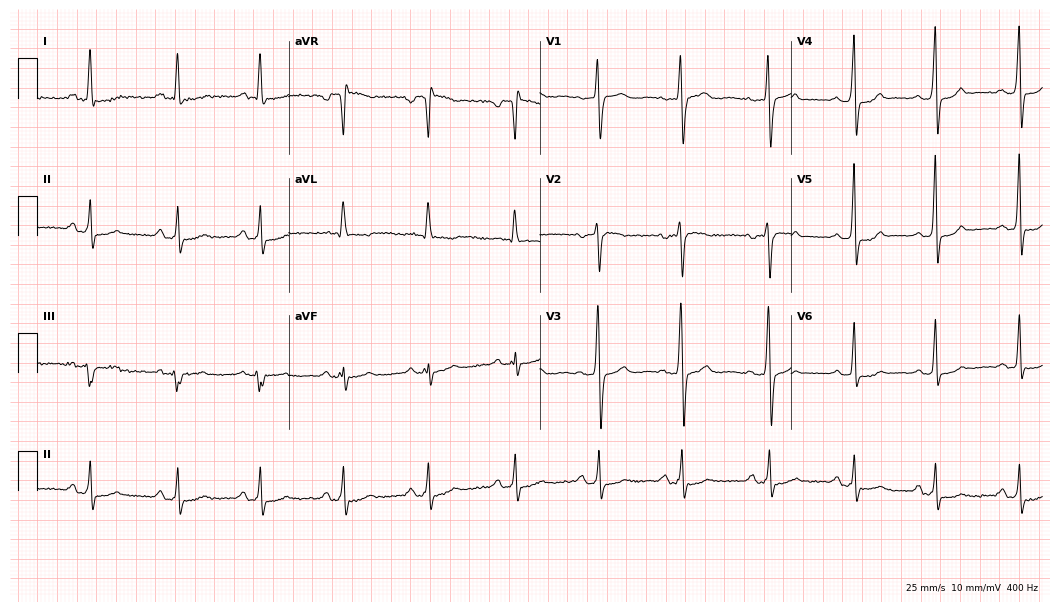
Resting 12-lead electrocardiogram (10.2-second recording at 400 Hz). Patient: a 53-year-old female. None of these six findings is recorded: first-degree AV block, right bundle branch block, left bundle branch block, sinus bradycardia, atrial fibrillation, sinus tachycardia.